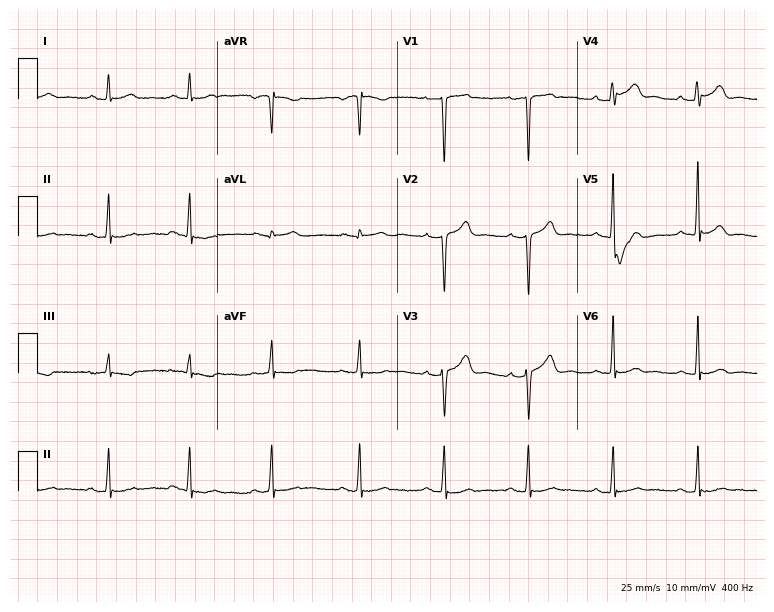
Standard 12-lead ECG recorded from a 56-year-old male patient (7.3-second recording at 400 Hz). None of these six findings is recorded: first-degree AV block, right bundle branch block (RBBB), left bundle branch block (LBBB), sinus bradycardia, atrial fibrillation (AF), sinus tachycardia.